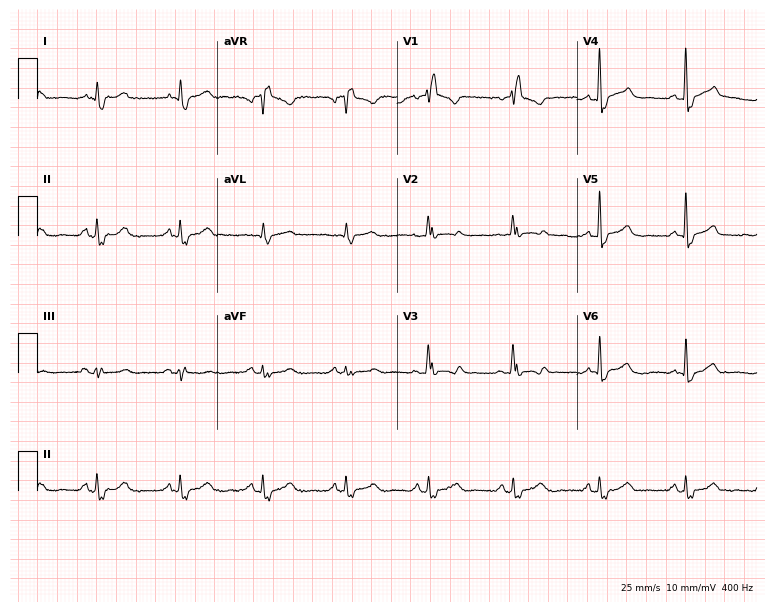
ECG — a 56-year-old woman. Findings include right bundle branch block.